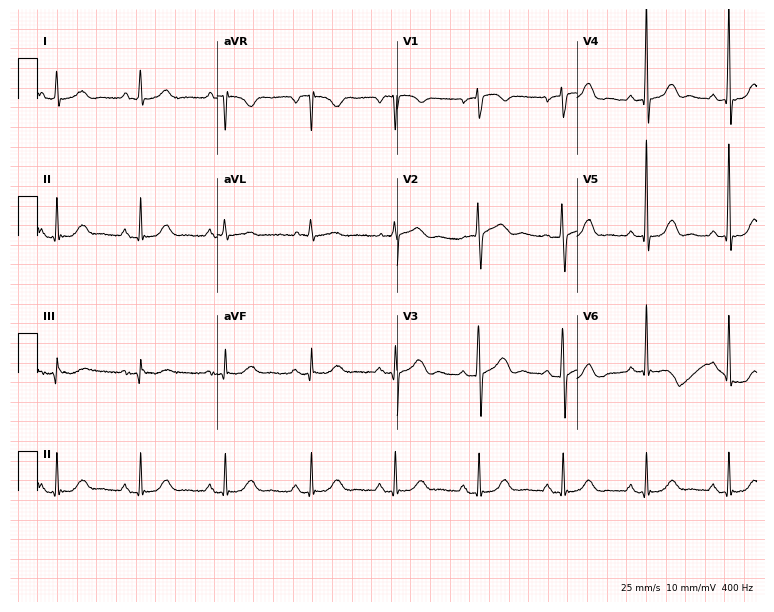
Electrocardiogram, a 59-year-old female patient. Overall reading on record: normal ECG.